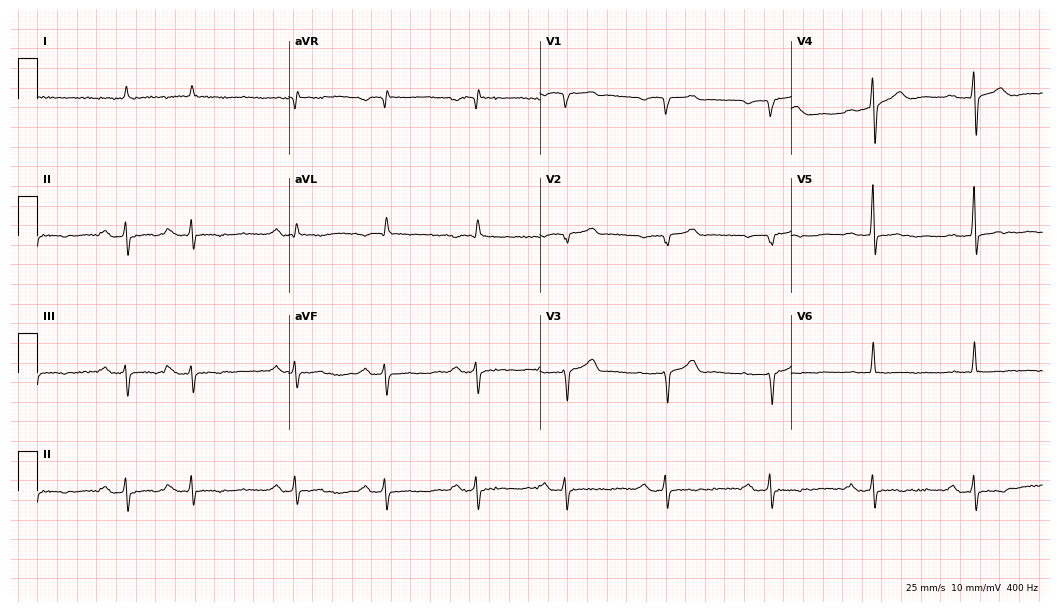
ECG (10.2-second recording at 400 Hz) — a female, 76 years old. Findings include first-degree AV block.